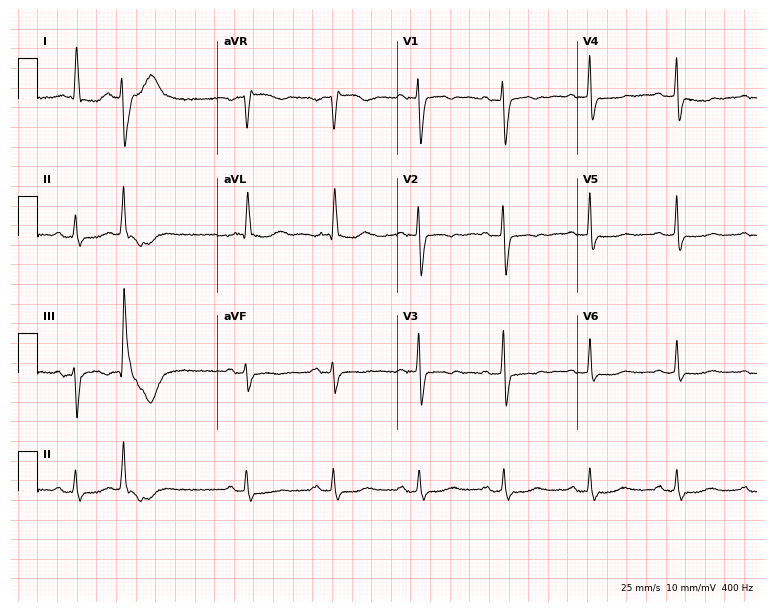
Electrocardiogram, a female patient, 80 years old. Of the six screened findings (first-degree AV block, right bundle branch block, left bundle branch block, sinus bradycardia, atrial fibrillation, sinus tachycardia), none is recorded. Findings outside these six are not listed.